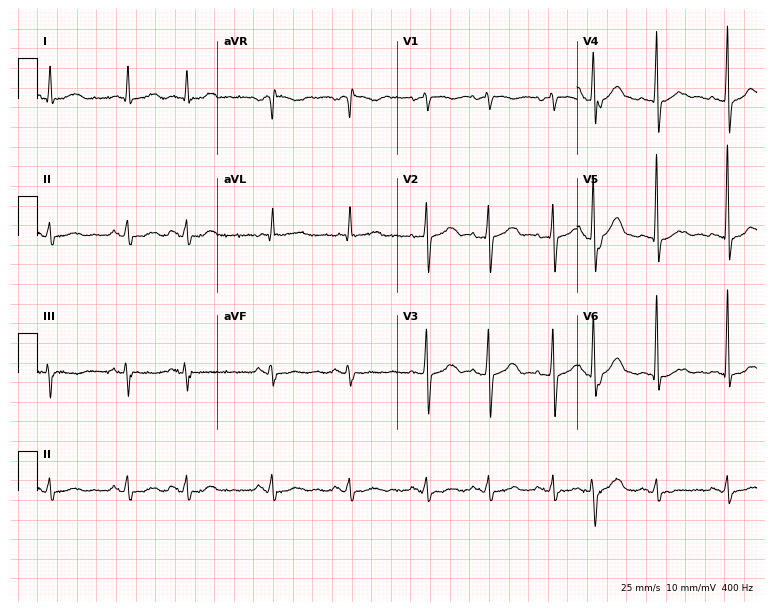
ECG (7.3-second recording at 400 Hz) — an 85-year-old male. Screened for six findings — first-degree AV block, right bundle branch block, left bundle branch block, sinus bradycardia, atrial fibrillation, sinus tachycardia — none is recorded.